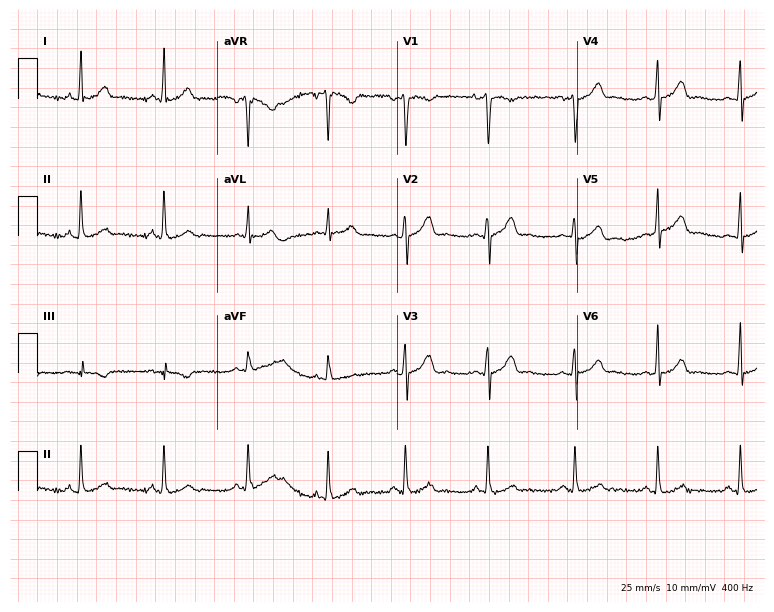
12-lead ECG from a woman, 37 years old. No first-degree AV block, right bundle branch block (RBBB), left bundle branch block (LBBB), sinus bradycardia, atrial fibrillation (AF) or sinus tachycardia recorded for this tracing.